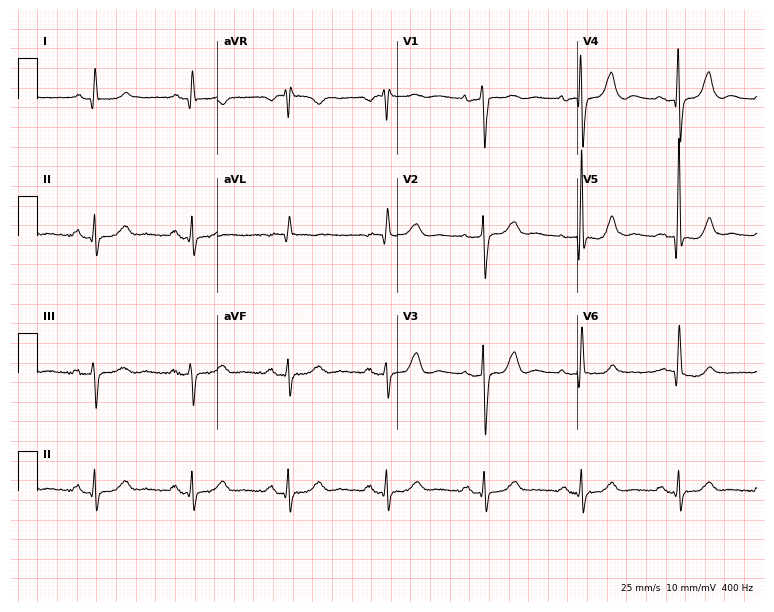
12-lead ECG from a 76-year-old female (7.3-second recording at 400 Hz). Recorded interpretation: within normal limits.